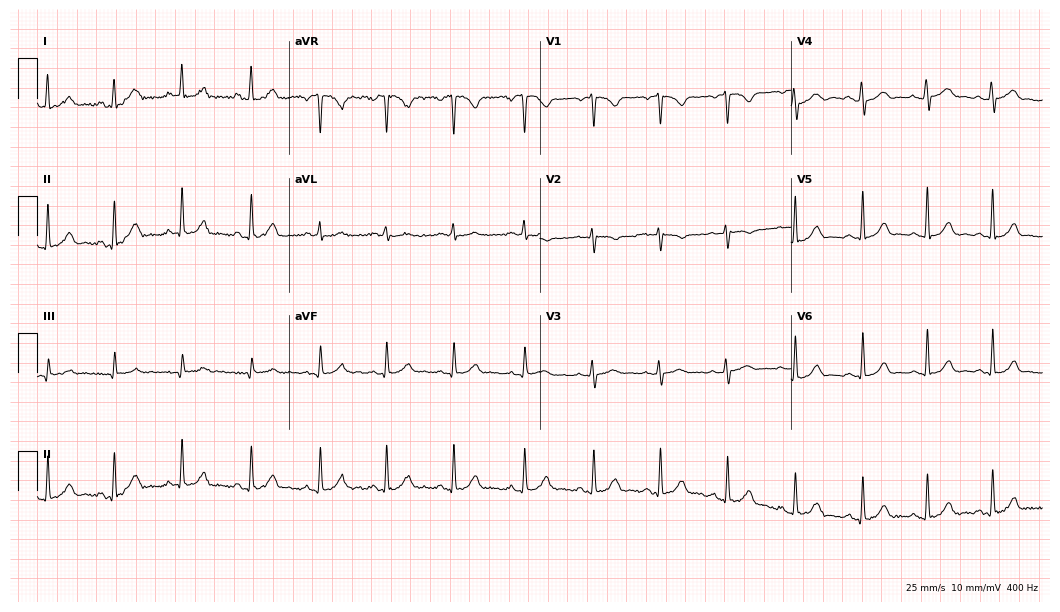
ECG (10.2-second recording at 400 Hz) — a female, 30 years old. Labelled as a normal ECG.